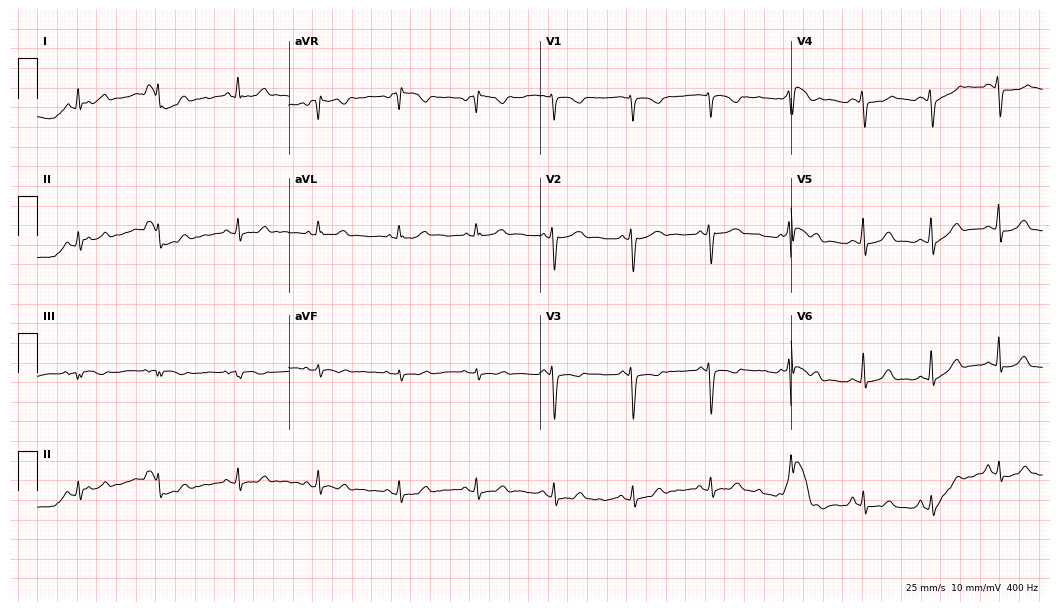
Standard 12-lead ECG recorded from a female, 22 years old (10.2-second recording at 400 Hz). None of these six findings is recorded: first-degree AV block, right bundle branch block, left bundle branch block, sinus bradycardia, atrial fibrillation, sinus tachycardia. Only these six findings were labelled.